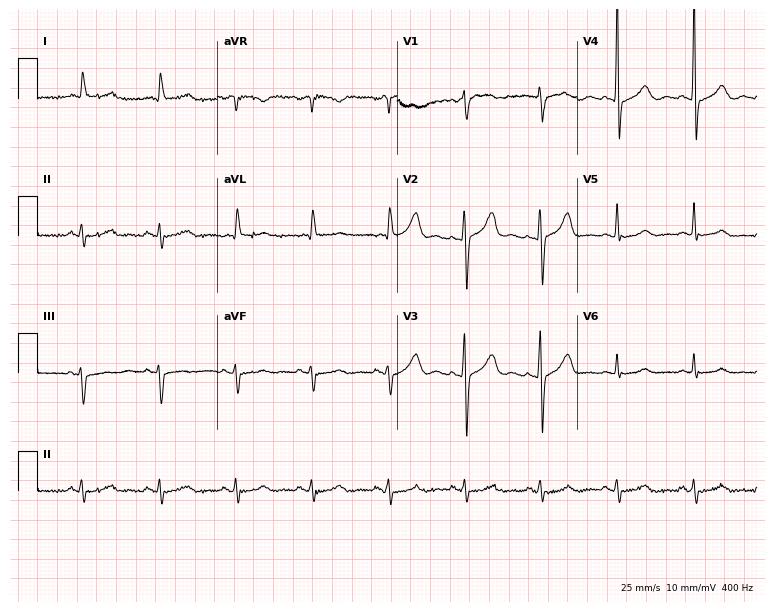
Electrocardiogram (7.3-second recording at 400 Hz), a man, 76 years old. Overall reading on record: normal ECG.